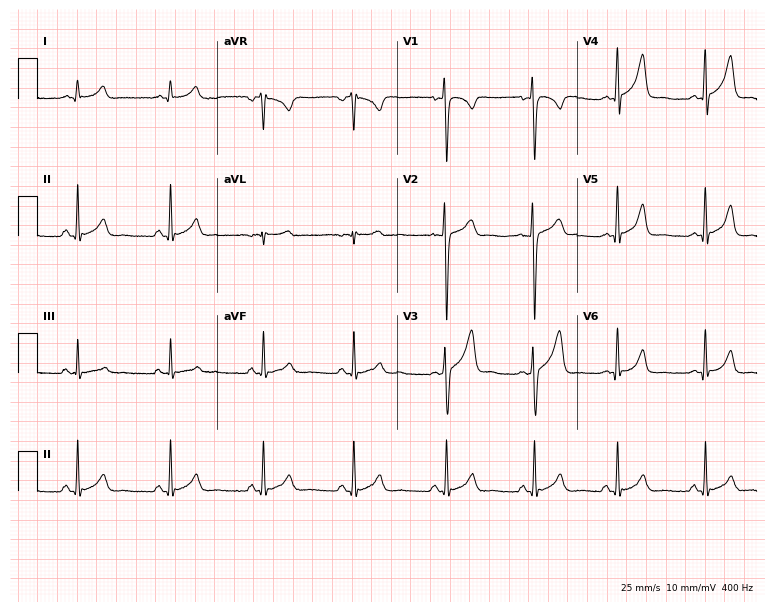
Electrocardiogram, a male patient, 31 years old. Of the six screened findings (first-degree AV block, right bundle branch block, left bundle branch block, sinus bradycardia, atrial fibrillation, sinus tachycardia), none is recorded. Findings outside these six are not listed.